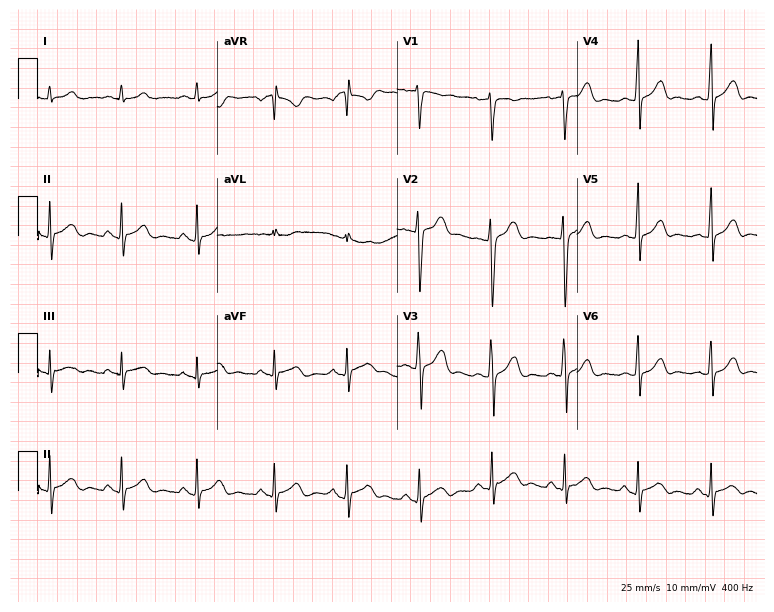
Electrocardiogram (7.3-second recording at 400 Hz), a man, 28 years old. Of the six screened findings (first-degree AV block, right bundle branch block (RBBB), left bundle branch block (LBBB), sinus bradycardia, atrial fibrillation (AF), sinus tachycardia), none is recorded.